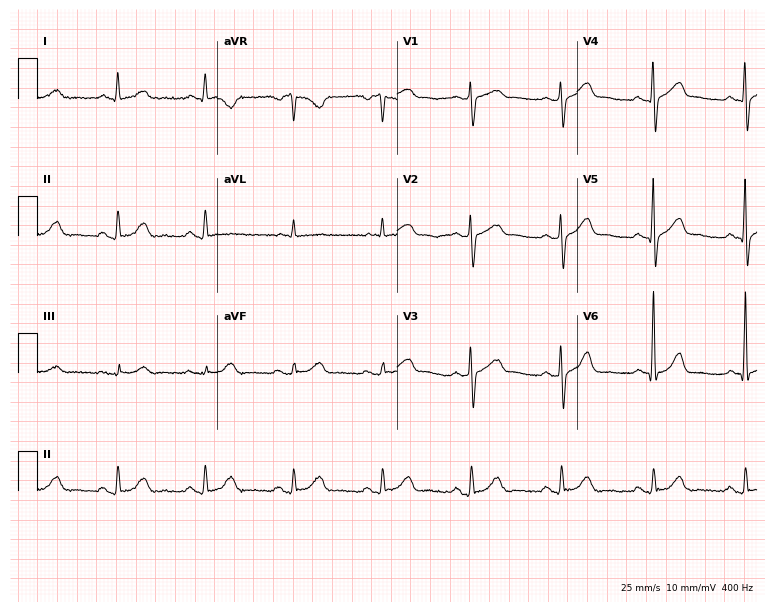
12-lead ECG (7.3-second recording at 400 Hz) from a male, 76 years old. Screened for six findings — first-degree AV block, right bundle branch block, left bundle branch block, sinus bradycardia, atrial fibrillation, sinus tachycardia — none is recorded.